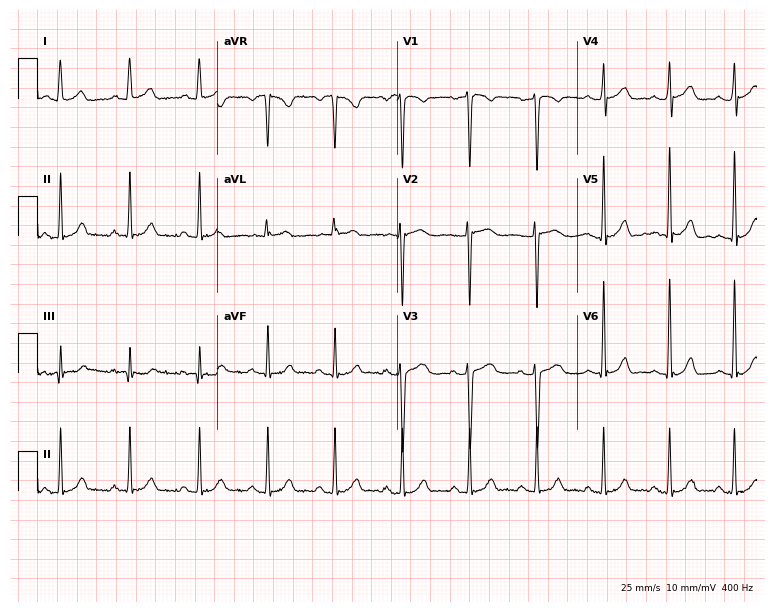
12-lead ECG from a 27-year-old female. No first-degree AV block, right bundle branch block, left bundle branch block, sinus bradycardia, atrial fibrillation or sinus tachycardia recorded for this tracing. Findings outside these six are not listed.